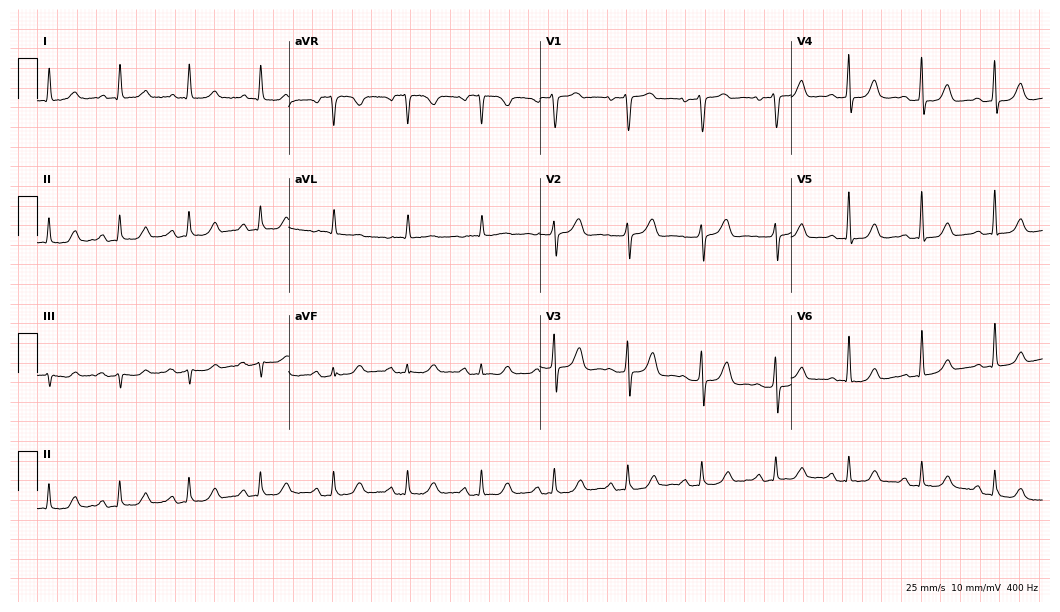
Resting 12-lead electrocardiogram. Patient: a female, 76 years old. None of these six findings is recorded: first-degree AV block, right bundle branch block, left bundle branch block, sinus bradycardia, atrial fibrillation, sinus tachycardia. Findings outside these six are not listed.